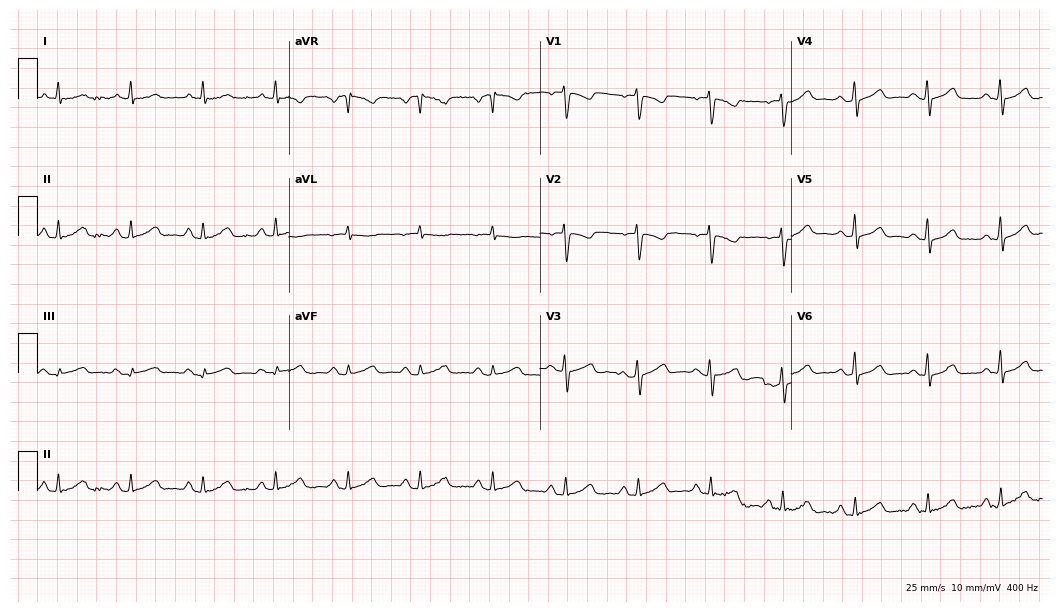
Standard 12-lead ECG recorded from a 73-year-old woman (10.2-second recording at 400 Hz). Read as a normal ECG.